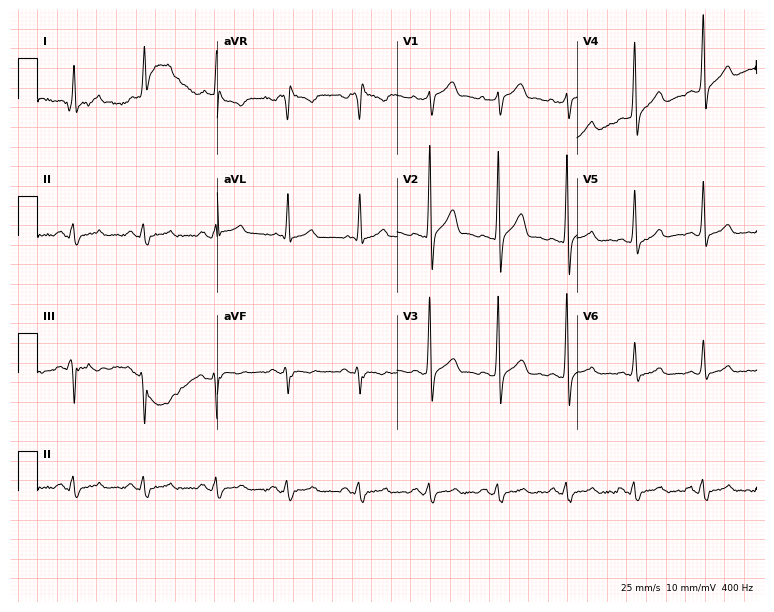
12-lead ECG from a 39-year-old male. No first-degree AV block, right bundle branch block, left bundle branch block, sinus bradycardia, atrial fibrillation or sinus tachycardia recorded for this tracing. Other findings, if any, are not listed.